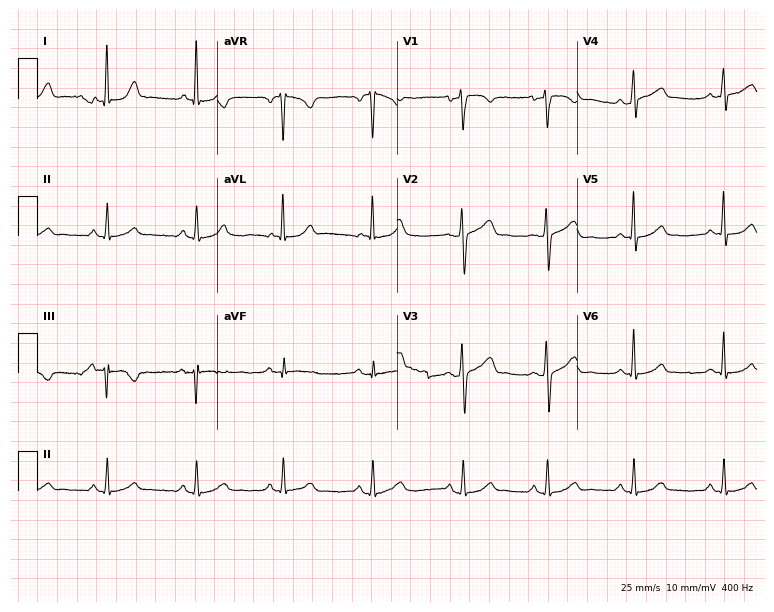
ECG (7.3-second recording at 400 Hz) — a female patient, 38 years old. Screened for six findings — first-degree AV block, right bundle branch block (RBBB), left bundle branch block (LBBB), sinus bradycardia, atrial fibrillation (AF), sinus tachycardia — none is recorded. Other findings, if any, are not listed.